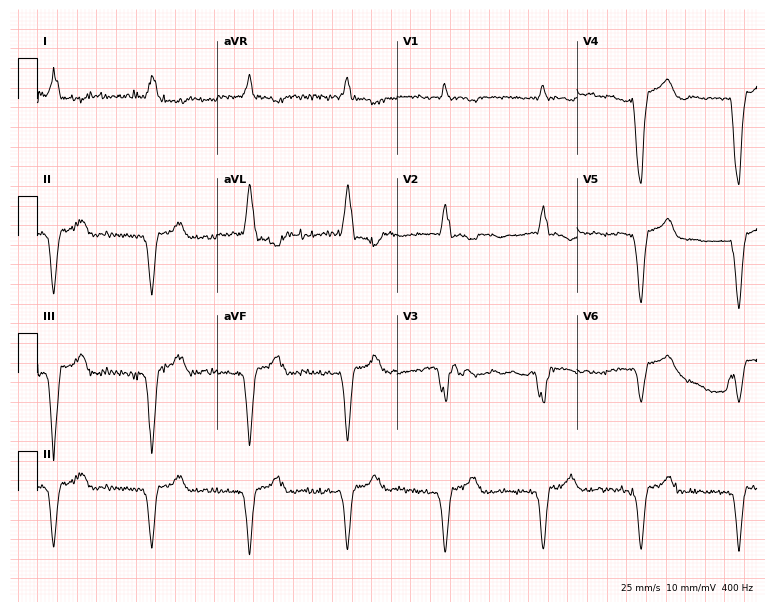
12-lead ECG from a female, 67 years old. Screened for six findings — first-degree AV block, right bundle branch block (RBBB), left bundle branch block (LBBB), sinus bradycardia, atrial fibrillation (AF), sinus tachycardia — none is recorded.